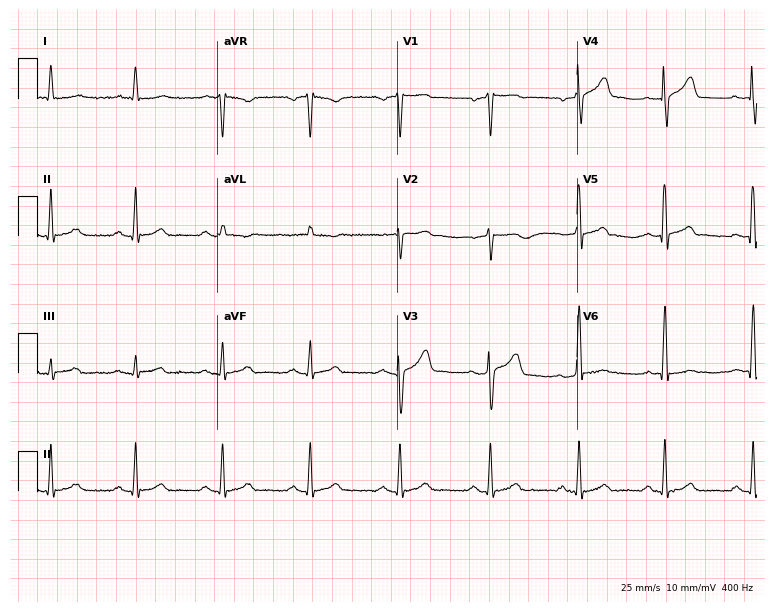
12-lead ECG from a male patient, 64 years old (7.3-second recording at 400 Hz). Recorded interpretation: within normal limits.